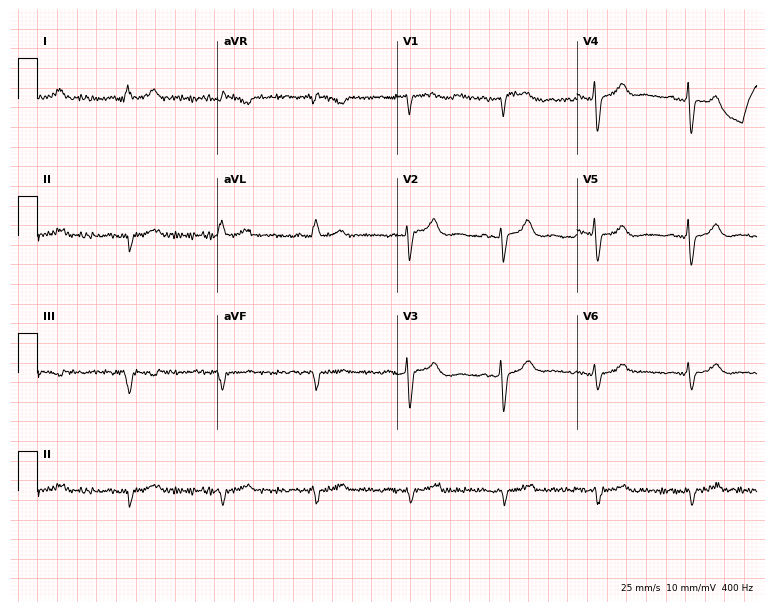
Standard 12-lead ECG recorded from an 82-year-old man. None of these six findings is recorded: first-degree AV block, right bundle branch block, left bundle branch block, sinus bradycardia, atrial fibrillation, sinus tachycardia. Other findings, if any, are not listed.